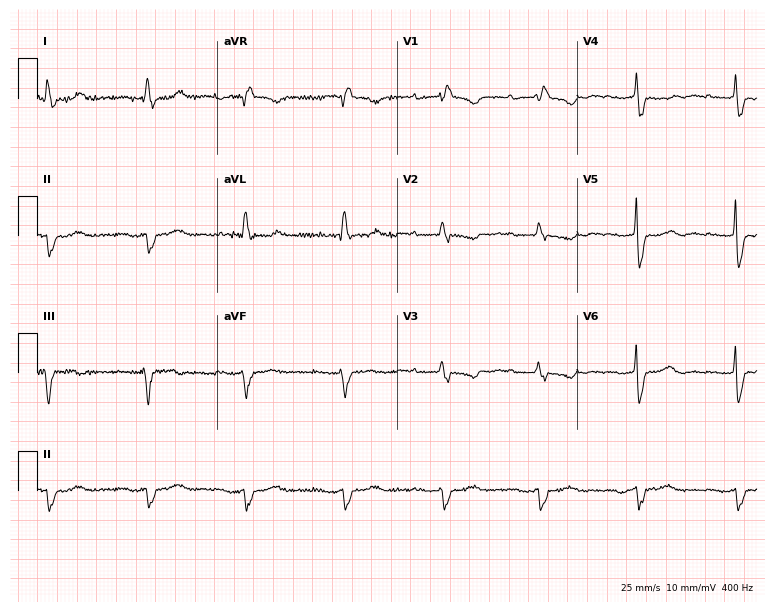
12-lead ECG from a 68-year-old female patient. Shows right bundle branch block (RBBB).